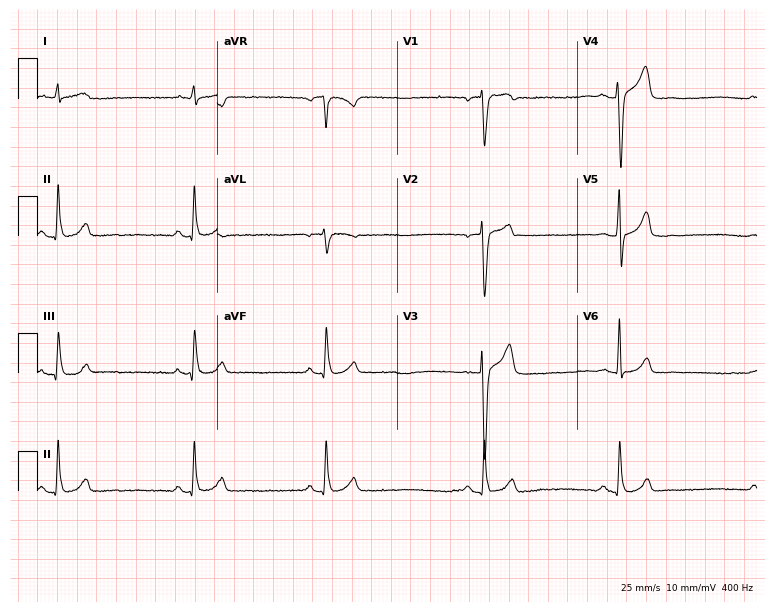
Electrocardiogram, a 54-year-old male. Interpretation includes sinus bradycardia (a sinus rate of 50 beats per minute or less).